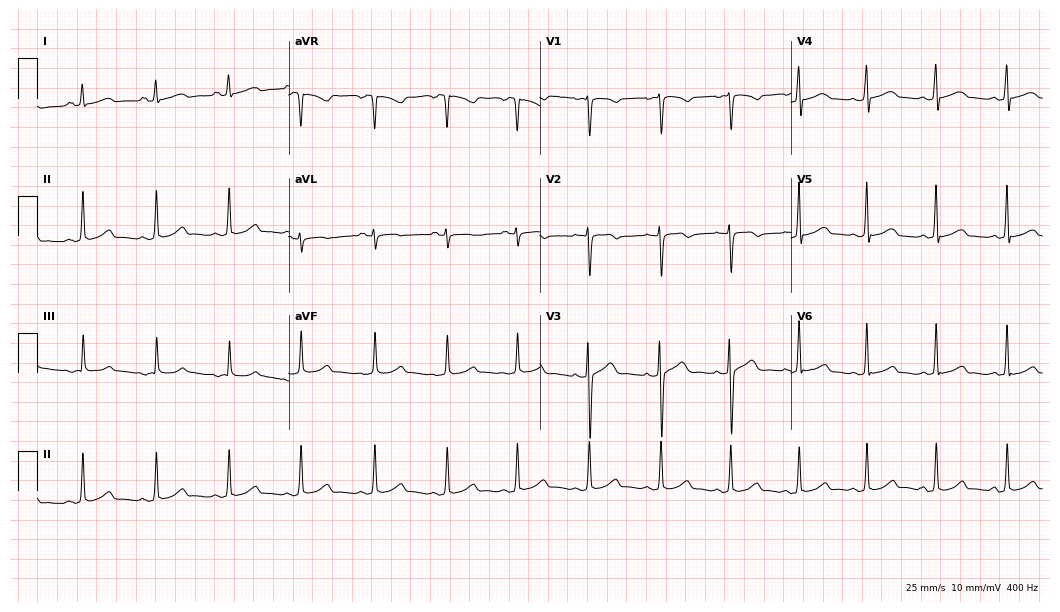
12-lead ECG from a female patient, 25 years old. No first-degree AV block, right bundle branch block (RBBB), left bundle branch block (LBBB), sinus bradycardia, atrial fibrillation (AF) or sinus tachycardia recorded for this tracing. Other findings, if any, are not listed.